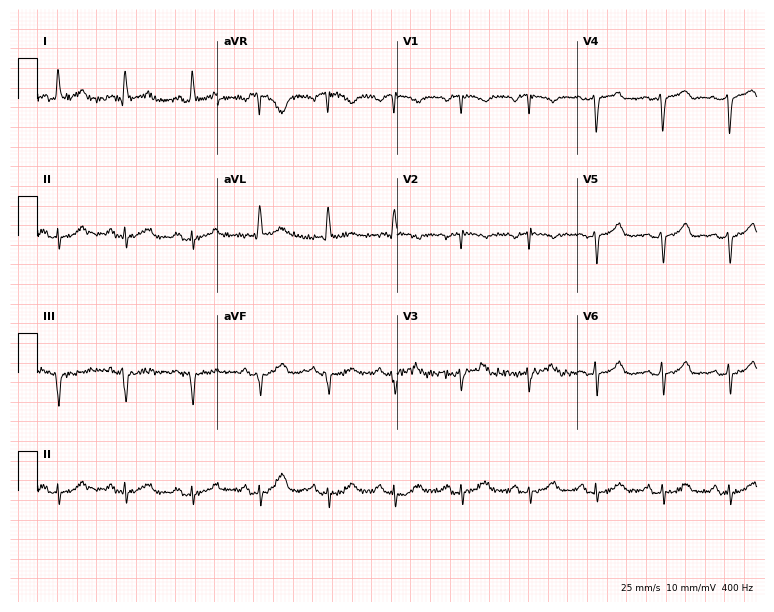
Resting 12-lead electrocardiogram (7.3-second recording at 400 Hz). Patient: a woman, 72 years old. None of these six findings is recorded: first-degree AV block, right bundle branch block, left bundle branch block, sinus bradycardia, atrial fibrillation, sinus tachycardia. Other findings, if any, are not listed.